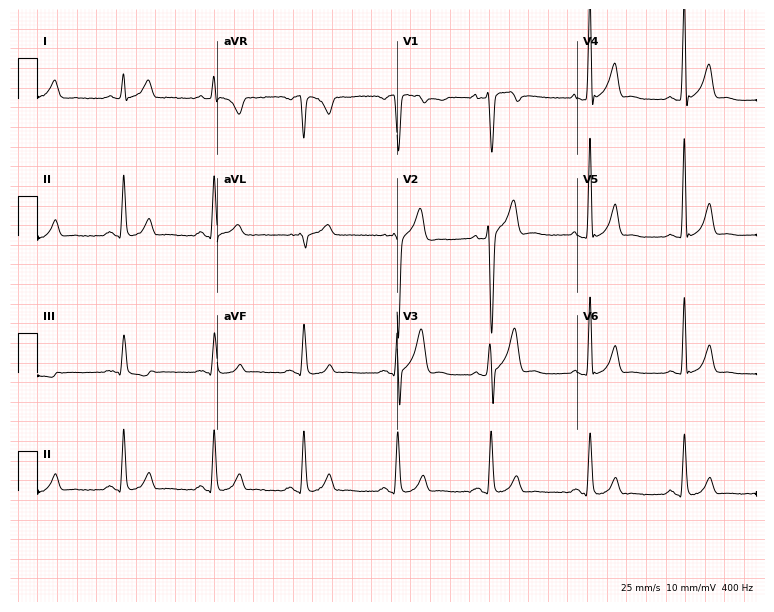
12-lead ECG from a 35-year-old male. No first-degree AV block, right bundle branch block, left bundle branch block, sinus bradycardia, atrial fibrillation or sinus tachycardia recorded for this tracing. Only these six findings were labelled.